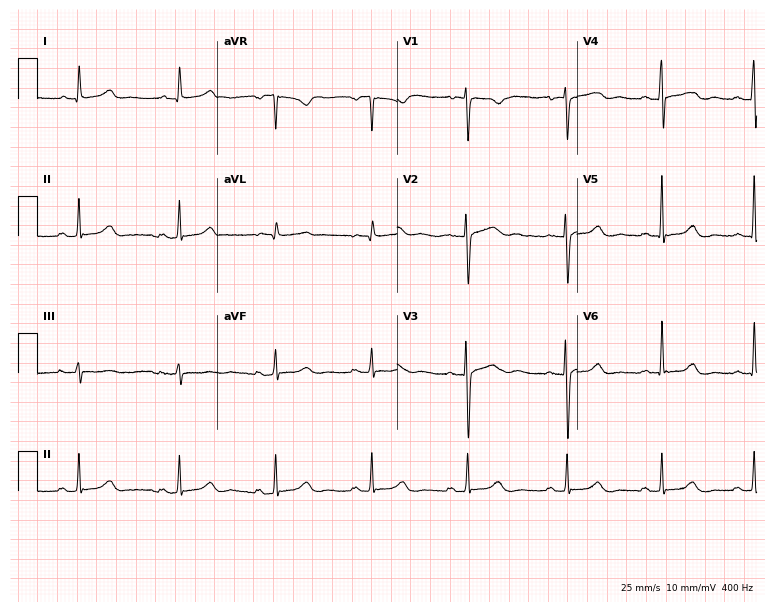
ECG — a 35-year-old female patient. Labelled as a normal ECG.